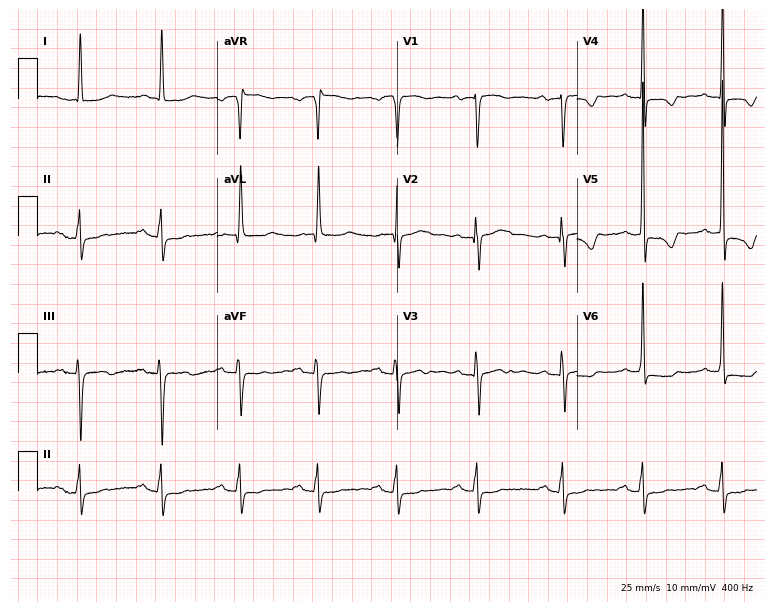
Resting 12-lead electrocardiogram. Patient: an 83-year-old female. None of these six findings is recorded: first-degree AV block, right bundle branch block (RBBB), left bundle branch block (LBBB), sinus bradycardia, atrial fibrillation (AF), sinus tachycardia. Findings outside these six are not listed.